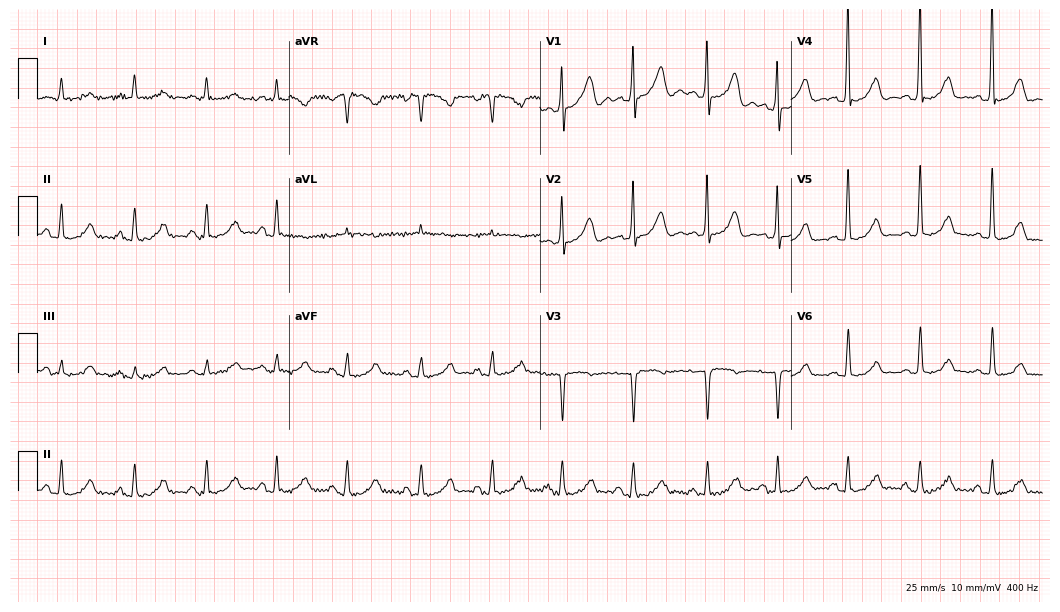
Standard 12-lead ECG recorded from a woman, 51 years old (10.2-second recording at 400 Hz). None of these six findings is recorded: first-degree AV block, right bundle branch block, left bundle branch block, sinus bradycardia, atrial fibrillation, sinus tachycardia. Findings outside these six are not listed.